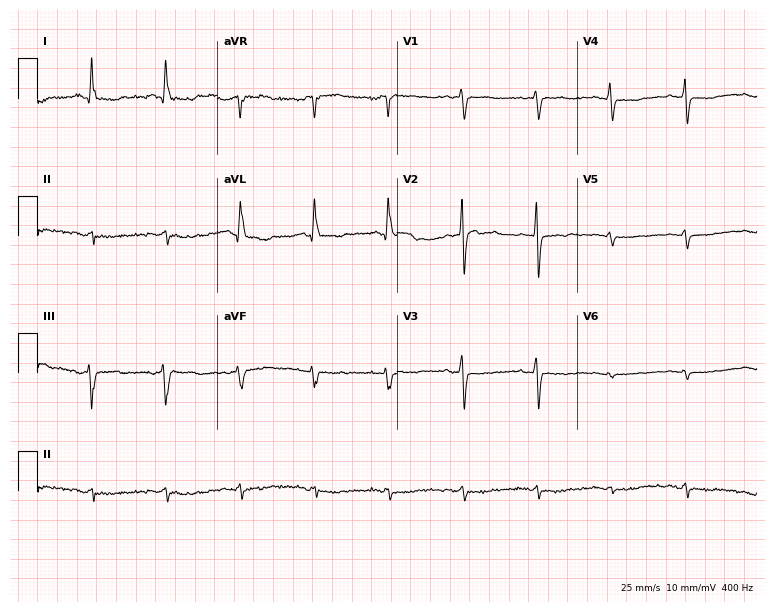
Resting 12-lead electrocardiogram. Patient: a 70-year-old female. None of these six findings is recorded: first-degree AV block, right bundle branch block, left bundle branch block, sinus bradycardia, atrial fibrillation, sinus tachycardia. Only these six findings were labelled.